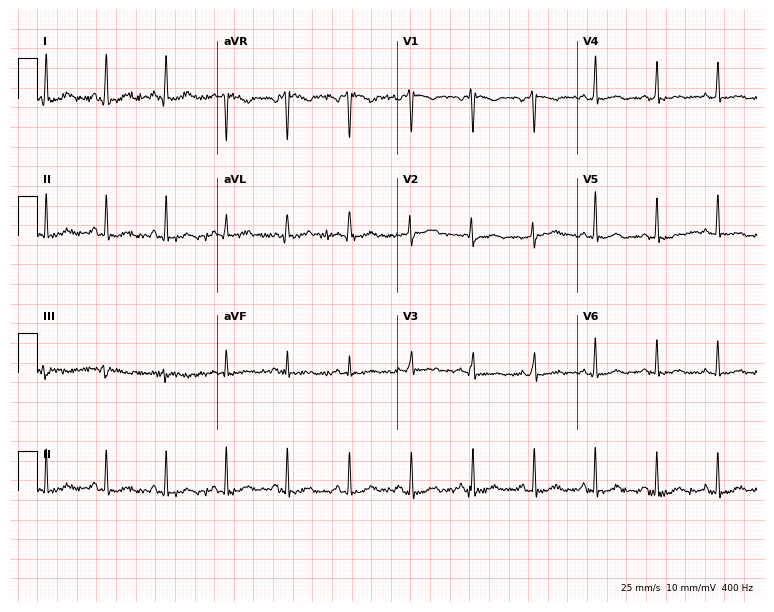
Electrocardiogram, a female, 26 years old. Of the six screened findings (first-degree AV block, right bundle branch block (RBBB), left bundle branch block (LBBB), sinus bradycardia, atrial fibrillation (AF), sinus tachycardia), none is recorded. Findings outside these six are not listed.